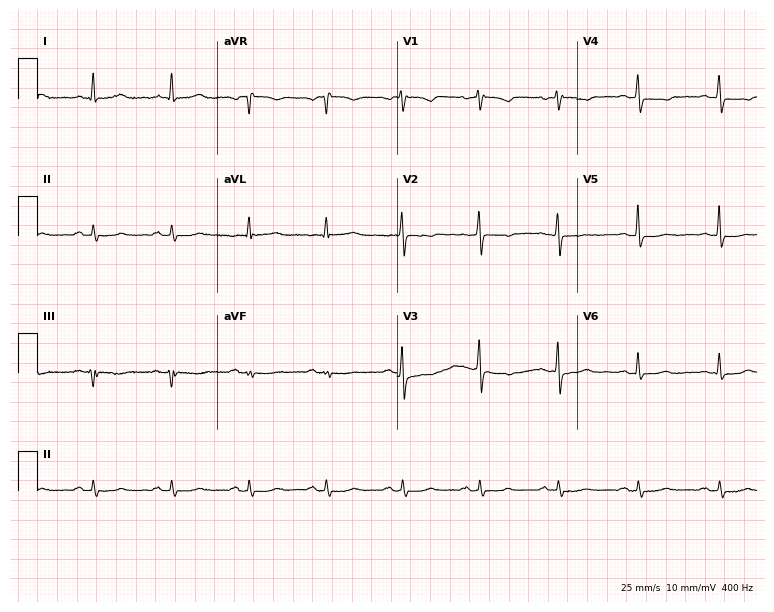
12-lead ECG from a 64-year-old woman. No first-degree AV block, right bundle branch block, left bundle branch block, sinus bradycardia, atrial fibrillation or sinus tachycardia recorded for this tracing.